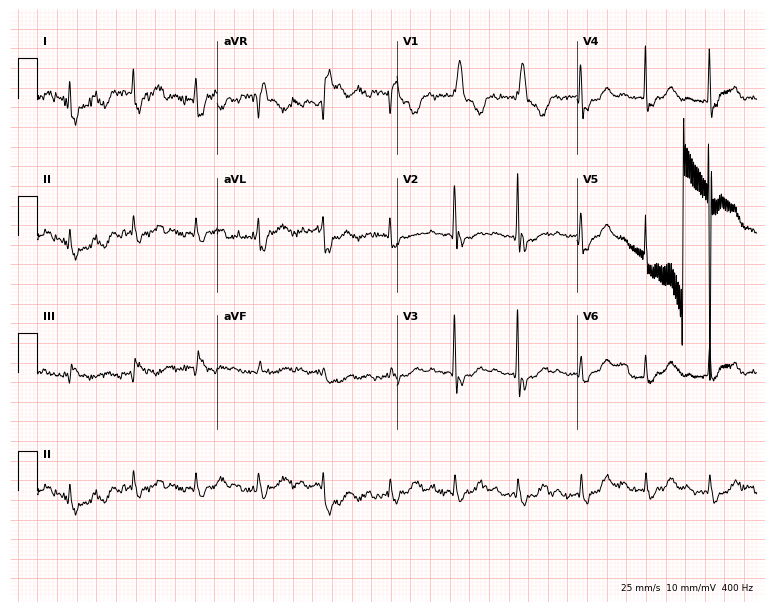
ECG — a 76-year-old female patient. Findings include first-degree AV block, right bundle branch block (RBBB).